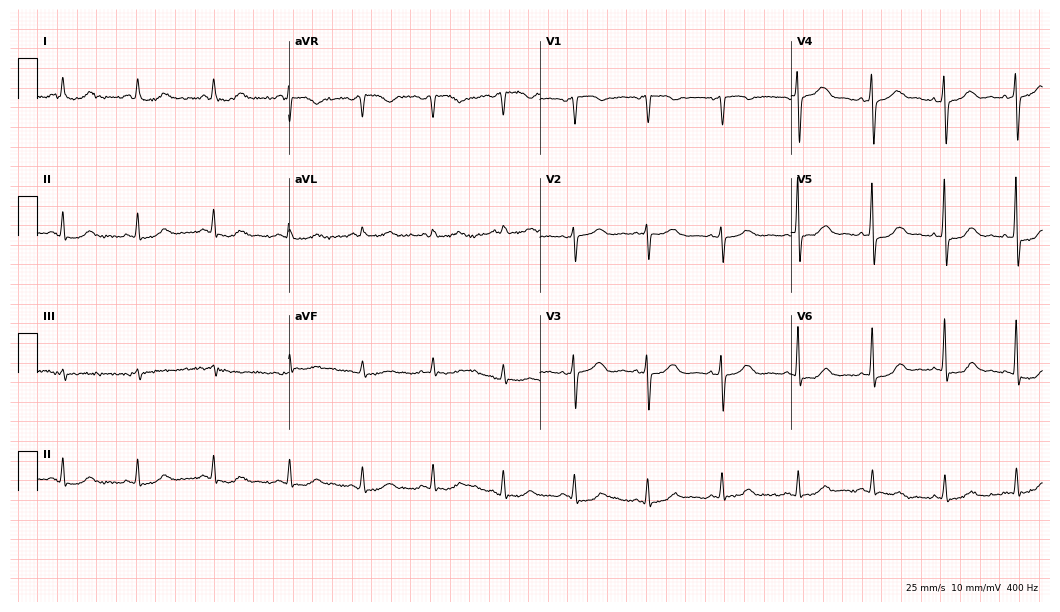
Standard 12-lead ECG recorded from a 59-year-old female patient. Read as a normal ECG.